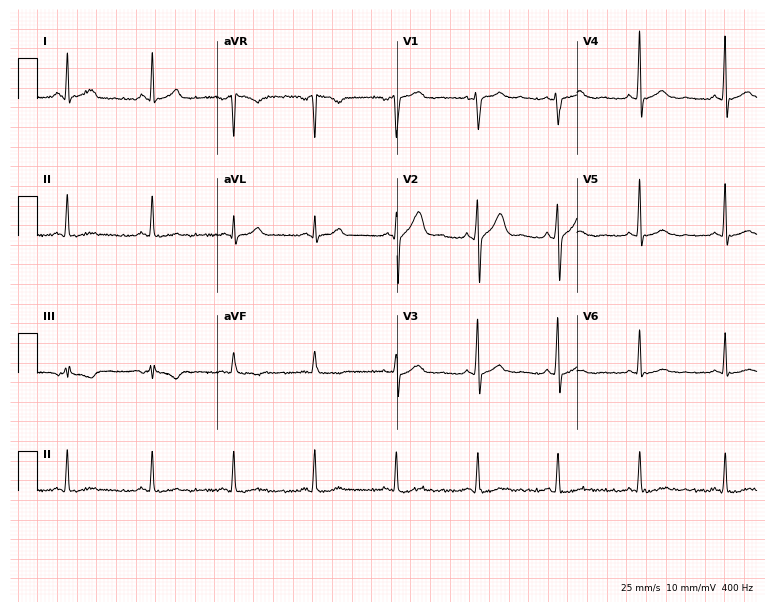
12-lead ECG (7.3-second recording at 400 Hz) from a 43-year-old male. Screened for six findings — first-degree AV block, right bundle branch block (RBBB), left bundle branch block (LBBB), sinus bradycardia, atrial fibrillation (AF), sinus tachycardia — none is recorded. Other findings, if any, are not listed.